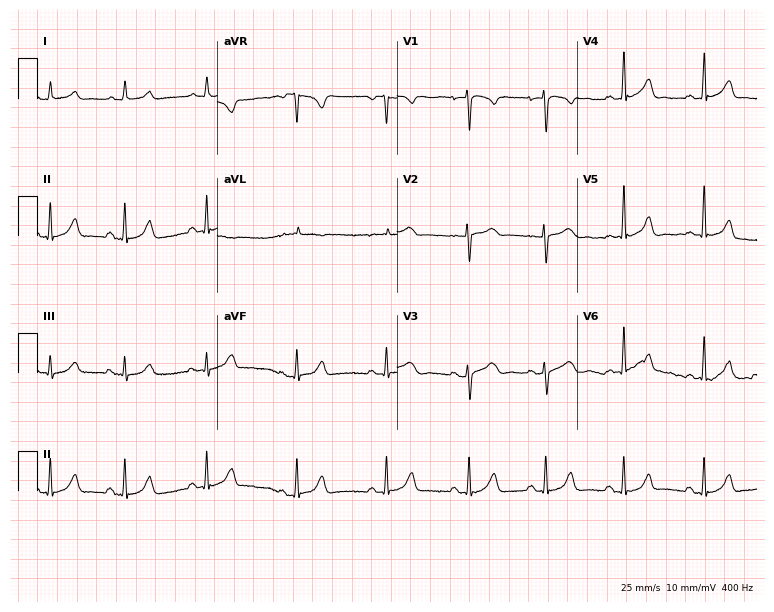
ECG (7.3-second recording at 400 Hz) — a female patient, 30 years old. Screened for six findings — first-degree AV block, right bundle branch block (RBBB), left bundle branch block (LBBB), sinus bradycardia, atrial fibrillation (AF), sinus tachycardia — none is recorded. Other findings, if any, are not listed.